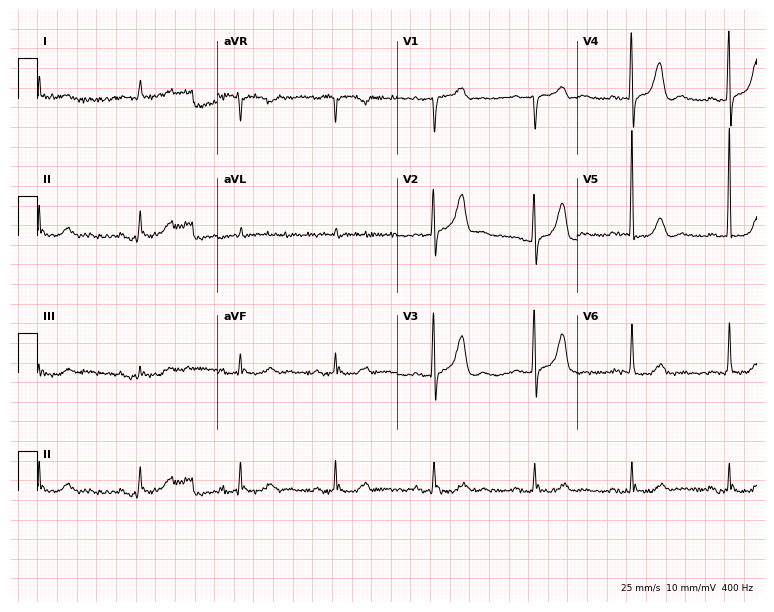
Standard 12-lead ECG recorded from an 82-year-old male. None of these six findings is recorded: first-degree AV block, right bundle branch block (RBBB), left bundle branch block (LBBB), sinus bradycardia, atrial fibrillation (AF), sinus tachycardia.